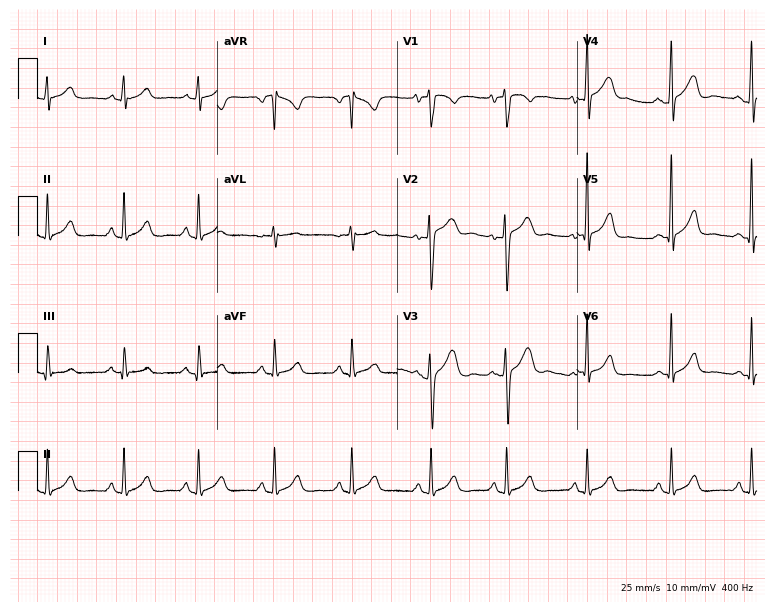
12-lead ECG from a man, 20 years old. Recorded interpretation: within normal limits.